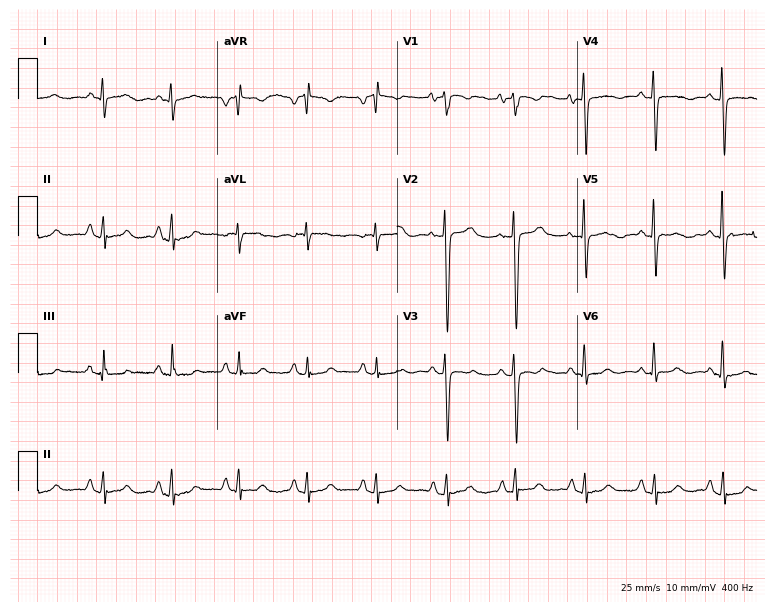
12-lead ECG from an 80-year-old female. No first-degree AV block, right bundle branch block (RBBB), left bundle branch block (LBBB), sinus bradycardia, atrial fibrillation (AF) or sinus tachycardia recorded for this tracing. Only these six findings were labelled.